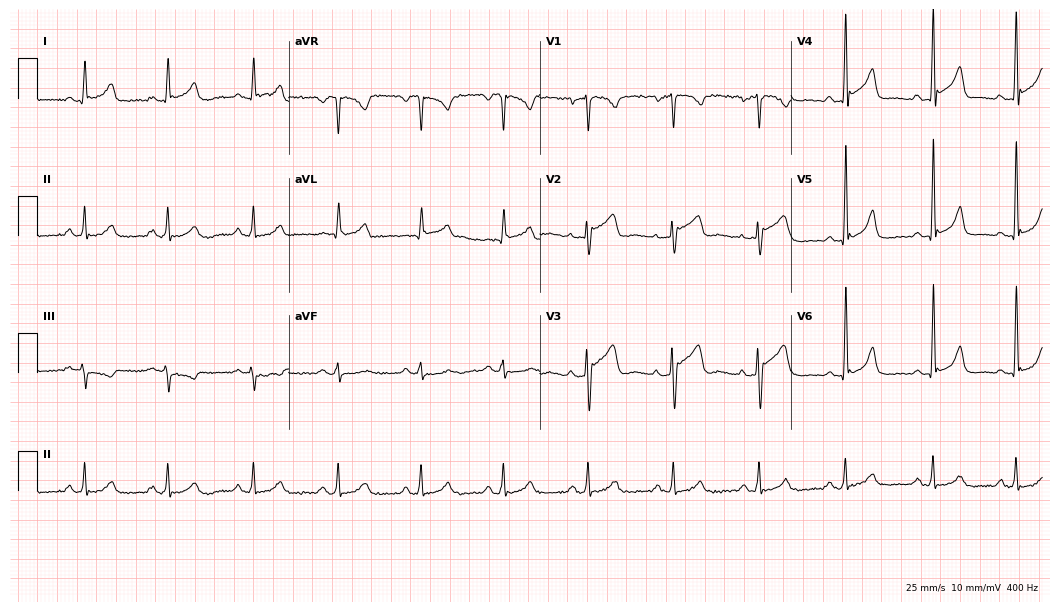
ECG (10.2-second recording at 400 Hz) — a 59-year-old male. Screened for six findings — first-degree AV block, right bundle branch block, left bundle branch block, sinus bradycardia, atrial fibrillation, sinus tachycardia — none is recorded.